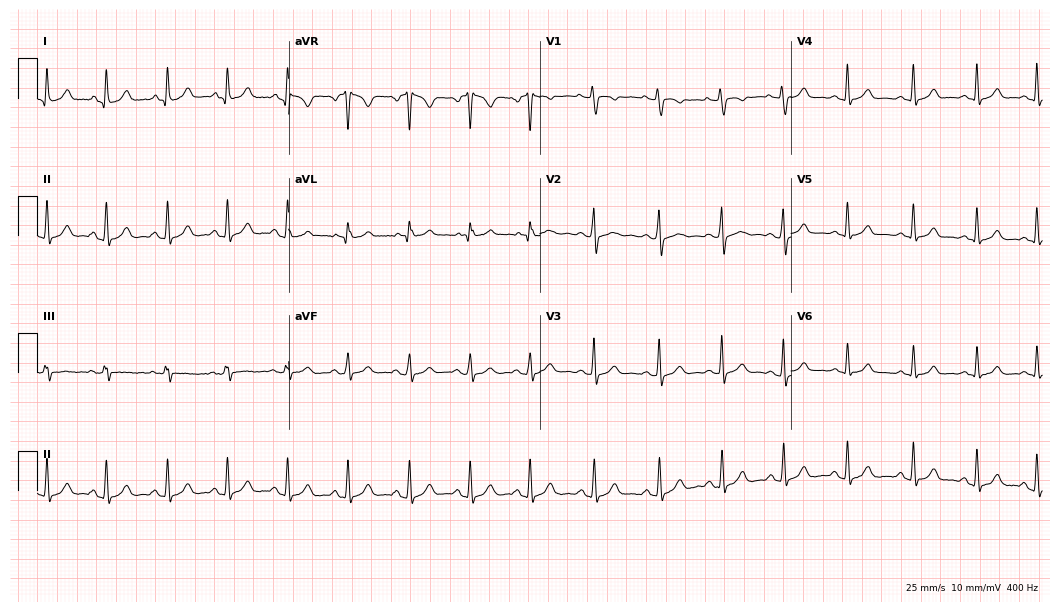
Electrocardiogram, a 33-year-old female. Overall reading on record: normal ECG.